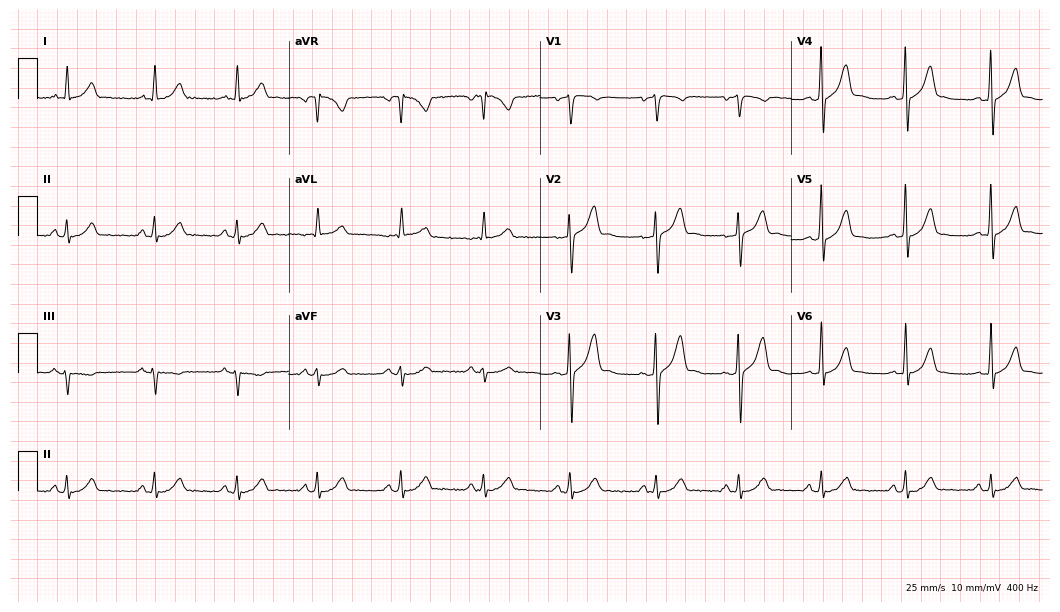
Electrocardiogram, a male, 35 years old. Overall reading on record: normal ECG.